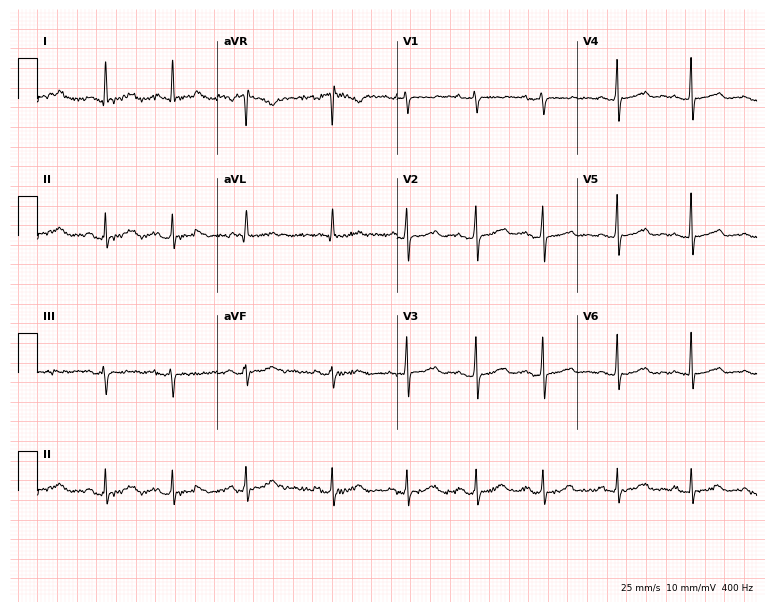
Electrocardiogram, a 75-year-old female patient. Overall reading on record: normal ECG.